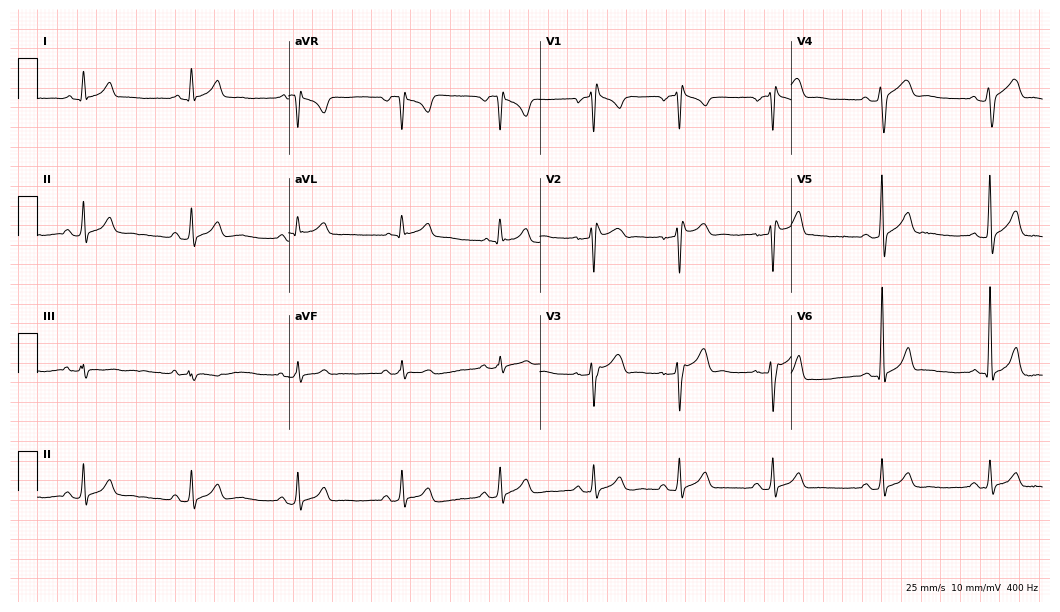
Resting 12-lead electrocardiogram. Patient: a 28-year-old man. Read as a normal ECG.